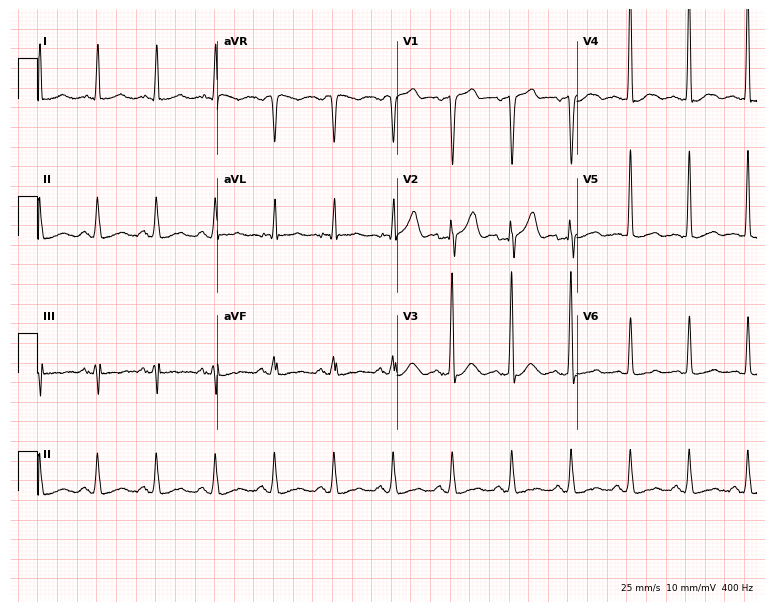
Resting 12-lead electrocardiogram. Patient: a 57-year-old male. None of these six findings is recorded: first-degree AV block, right bundle branch block, left bundle branch block, sinus bradycardia, atrial fibrillation, sinus tachycardia. Findings outside these six are not listed.